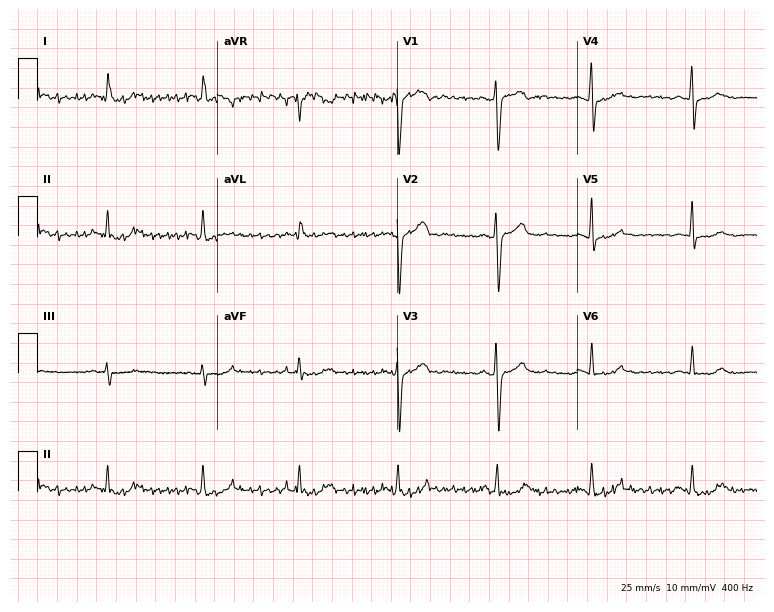
Standard 12-lead ECG recorded from a 39-year-old woman (7.3-second recording at 400 Hz). Read as a normal ECG.